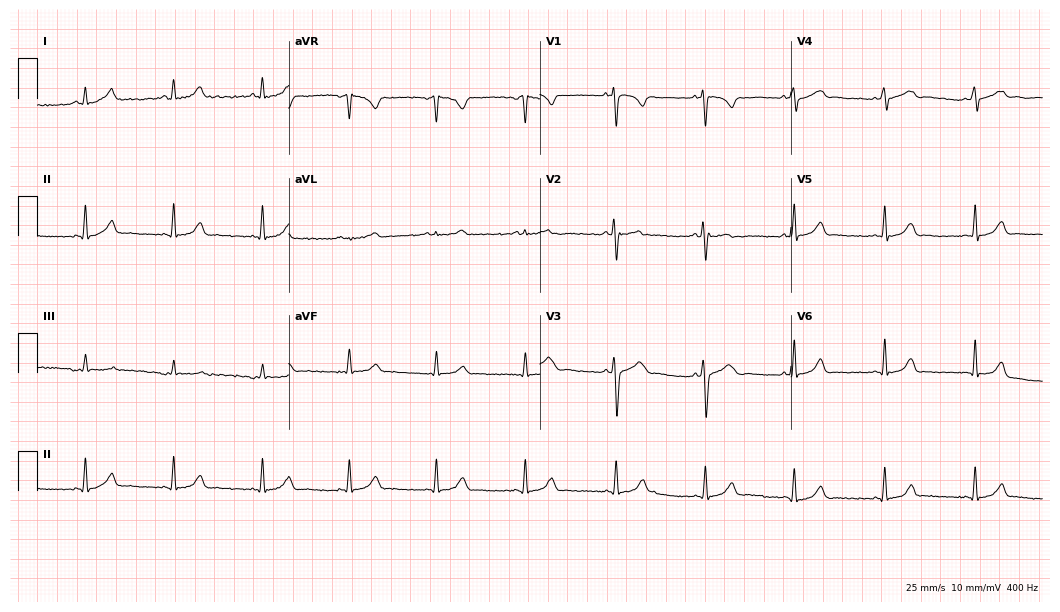
ECG — a 31-year-old female patient. Labelled as a normal ECG.